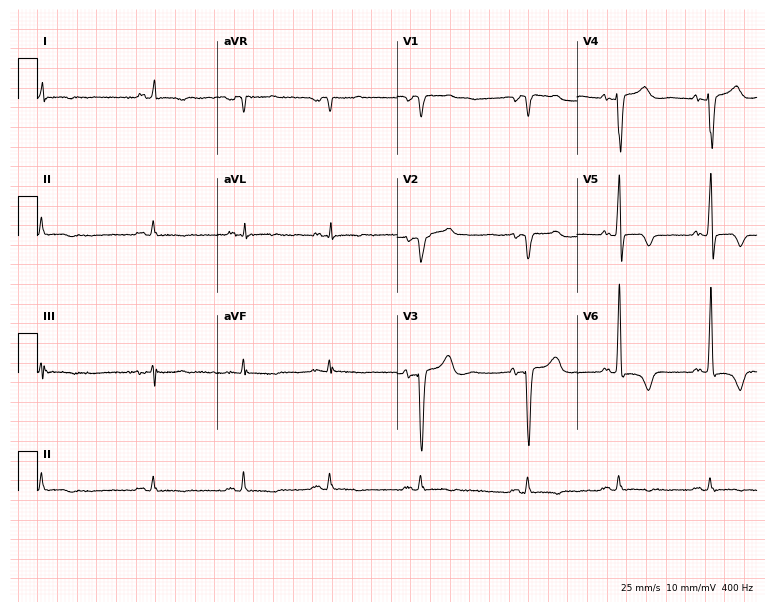
Electrocardiogram (7.3-second recording at 400 Hz), a female, 58 years old. Of the six screened findings (first-degree AV block, right bundle branch block (RBBB), left bundle branch block (LBBB), sinus bradycardia, atrial fibrillation (AF), sinus tachycardia), none is recorded. Only these six findings were labelled.